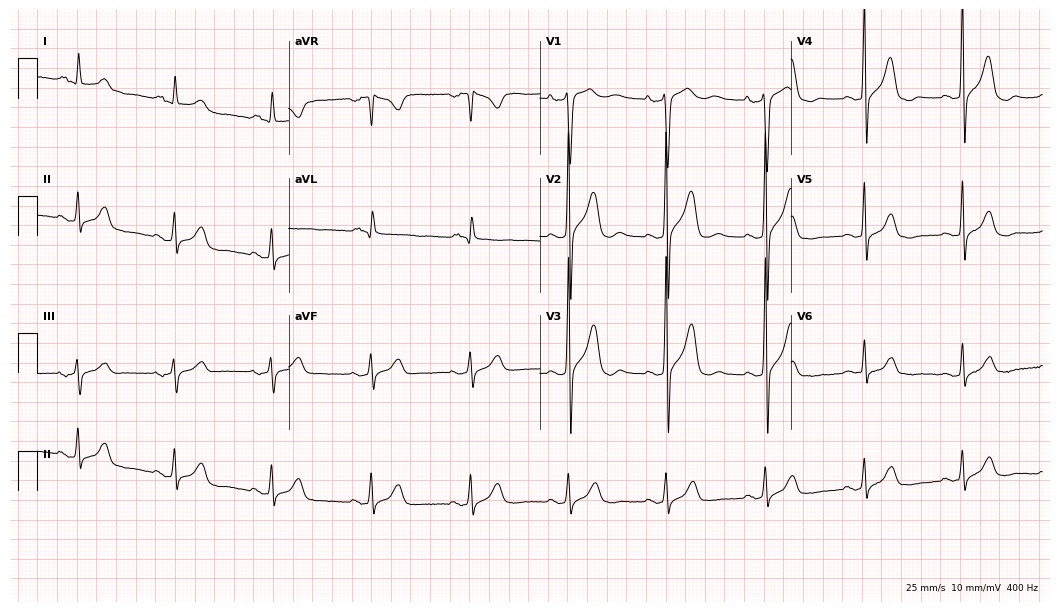
Electrocardiogram, a 43-year-old man. Of the six screened findings (first-degree AV block, right bundle branch block (RBBB), left bundle branch block (LBBB), sinus bradycardia, atrial fibrillation (AF), sinus tachycardia), none is recorded.